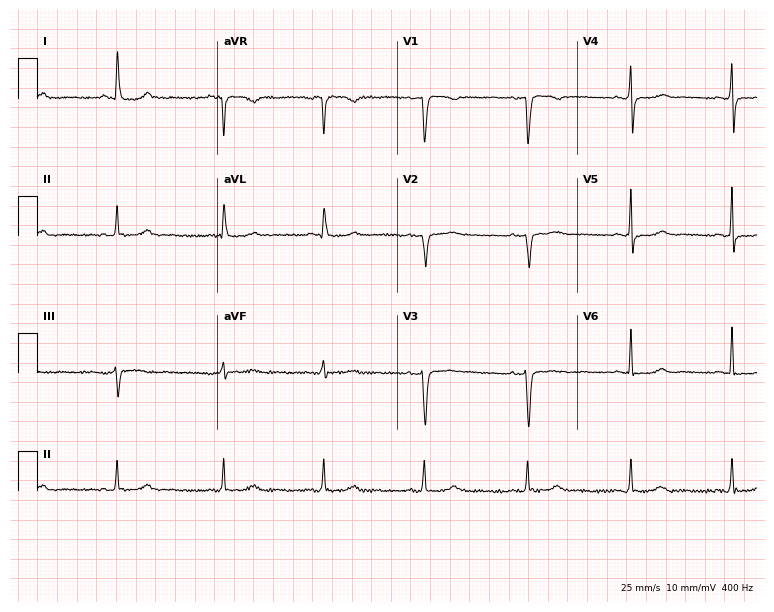
Electrocardiogram (7.3-second recording at 400 Hz), a 48-year-old female patient. Of the six screened findings (first-degree AV block, right bundle branch block (RBBB), left bundle branch block (LBBB), sinus bradycardia, atrial fibrillation (AF), sinus tachycardia), none is recorded.